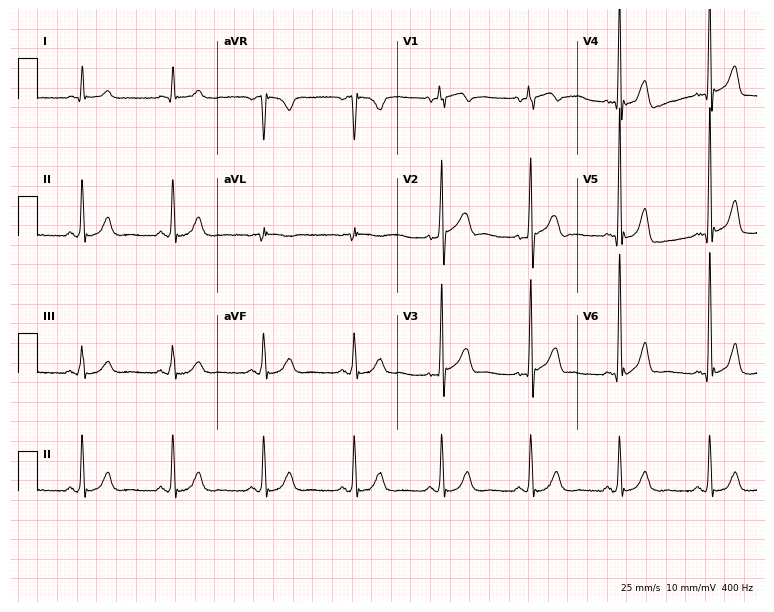
12-lead ECG from a male patient, 76 years old. No first-degree AV block, right bundle branch block, left bundle branch block, sinus bradycardia, atrial fibrillation or sinus tachycardia recorded for this tracing.